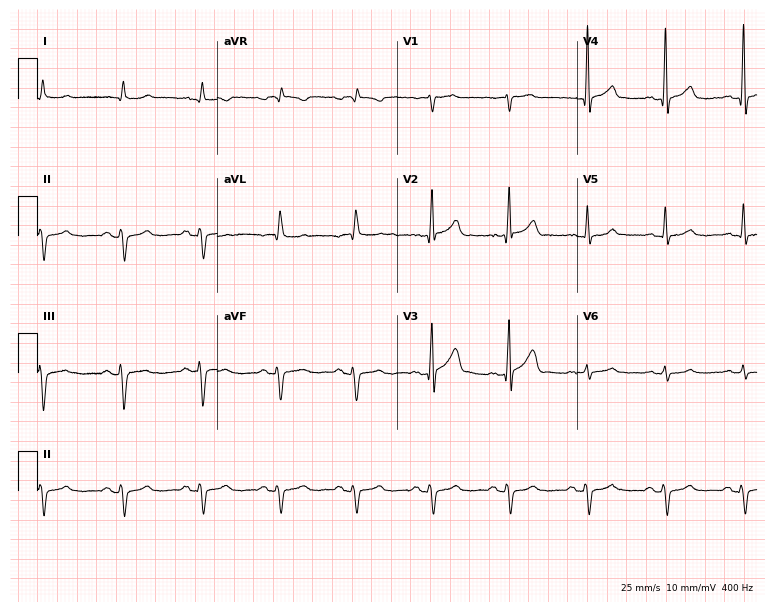
Standard 12-lead ECG recorded from a 69-year-old man. None of these six findings is recorded: first-degree AV block, right bundle branch block, left bundle branch block, sinus bradycardia, atrial fibrillation, sinus tachycardia. Findings outside these six are not listed.